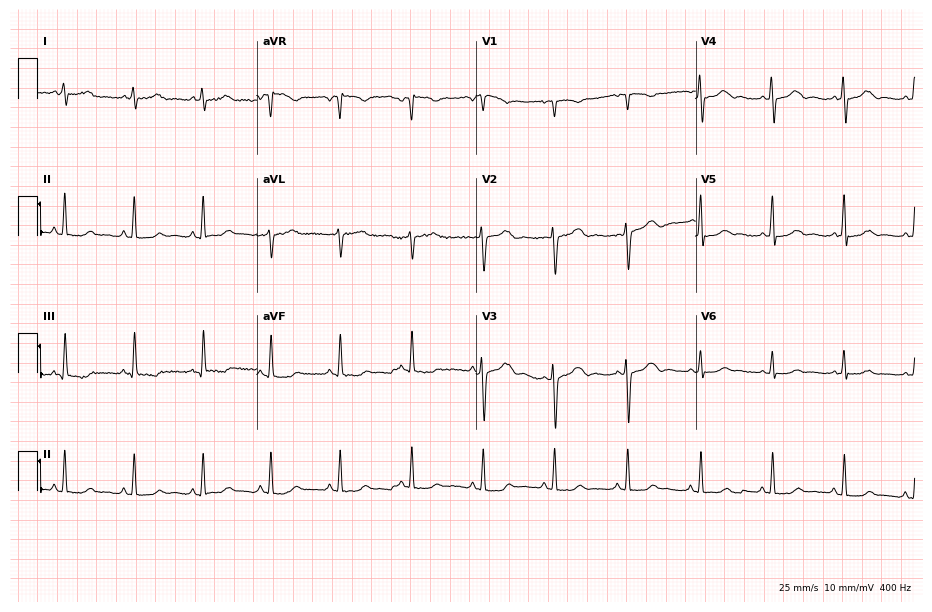
ECG — a female patient, 25 years old. Screened for six findings — first-degree AV block, right bundle branch block, left bundle branch block, sinus bradycardia, atrial fibrillation, sinus tachycardia — none is recorded.